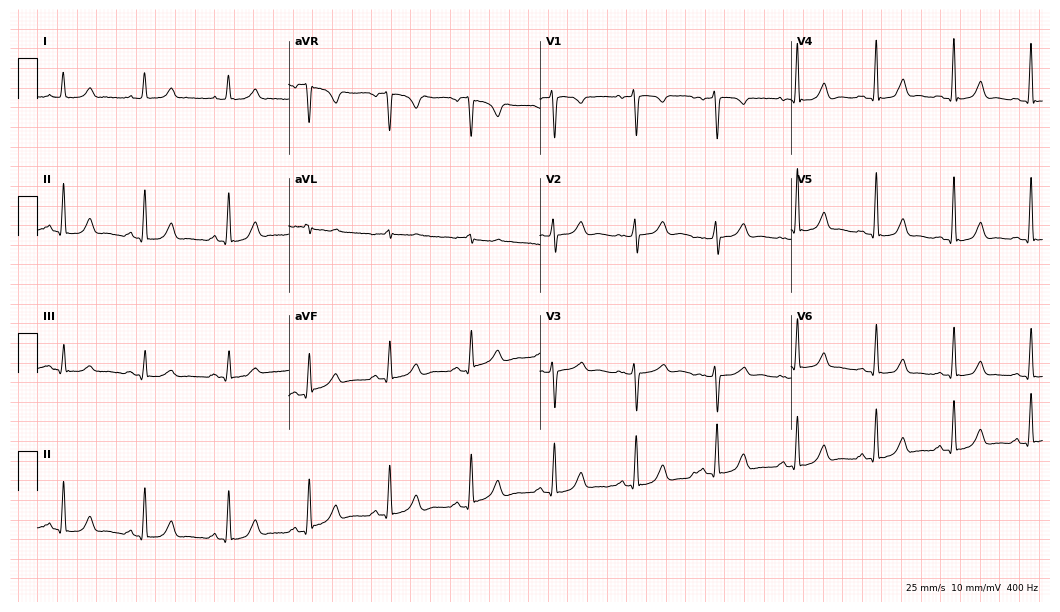
ECG (10.2-second recording at 400 Hz) — a female, 24 years old. Labelled as a normal ECG.